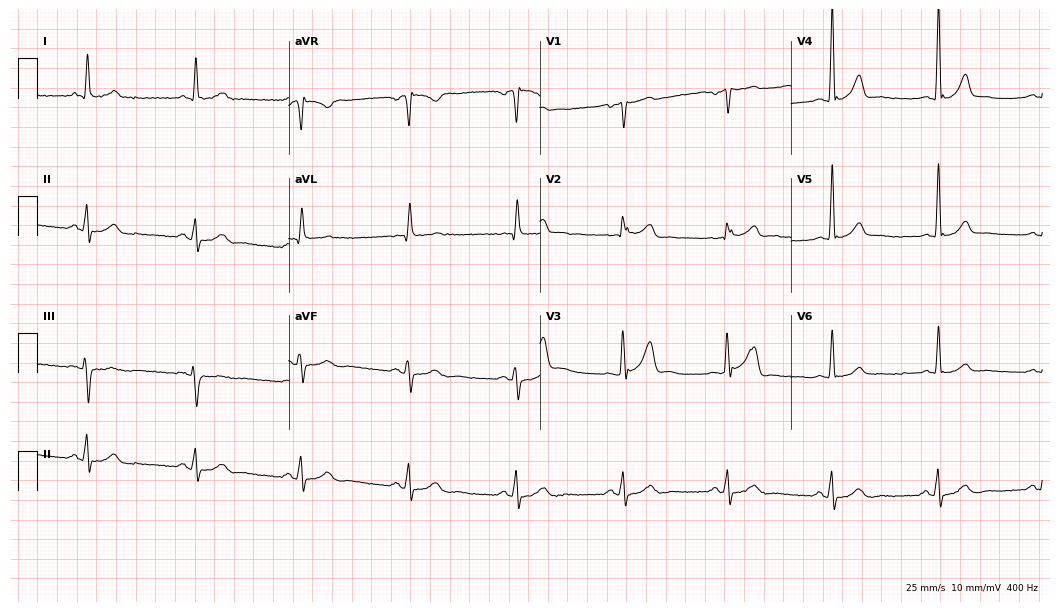
12-lead ECG from a 60-year-old male. Recorded interpretation: within normal limits.